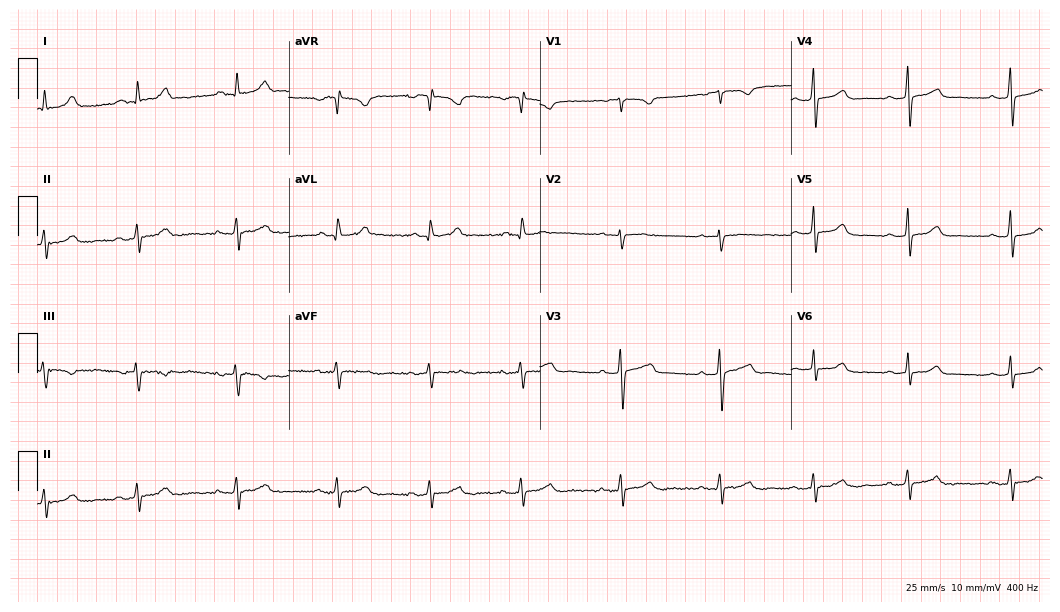
Resting 12-lead electrocardiogram (10.2-second recording at 400 Hz). Patient: a woman, 44 years old. Read as a normal ECG.